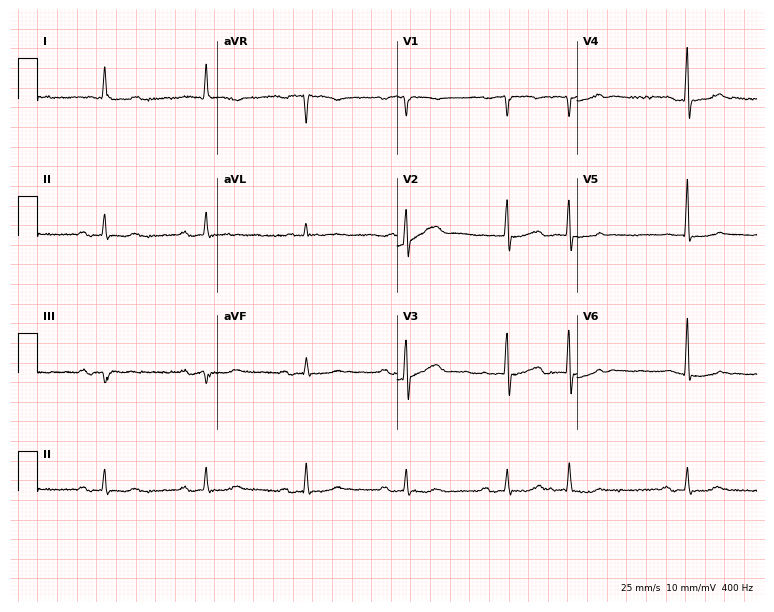
Standard 12-lead ECG recorded from a woman, 85 years old. None of these six findings is recorded: first-degree AV block, right bundle branch block, left bundle branch block, sinus bradycardia, atrial fibrillation, sinus tachycardia. Only these six findings were labelled.